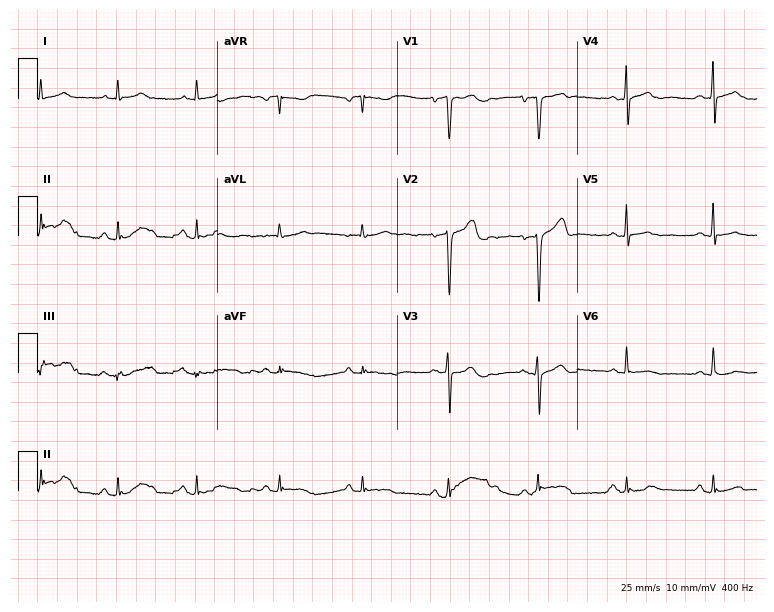
12-lead ECG from a male, 58 years old. Screened for six findings — first-degree AV block, right bundle branch block, left bundle branch block, sinus bradycardia, atrial fibrillation, sinus tachycardia — none is recorded. Findings outside these six are not listed.